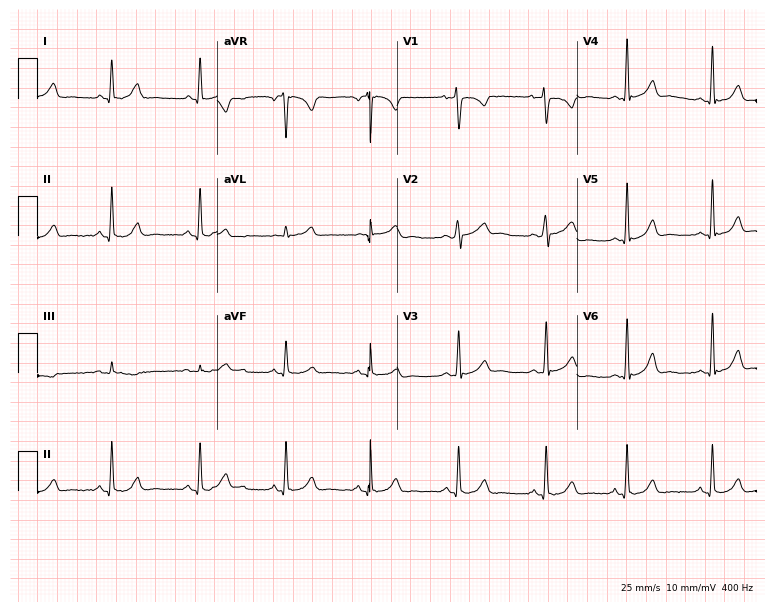
12-lead ECG from a woman, 21 years old. Screened for six findings — first-degree AV block, right bundle branch block, left bundle branch block, sinus bradycardia, atrial fibrillation, sinus tachycardia — none is recorded.